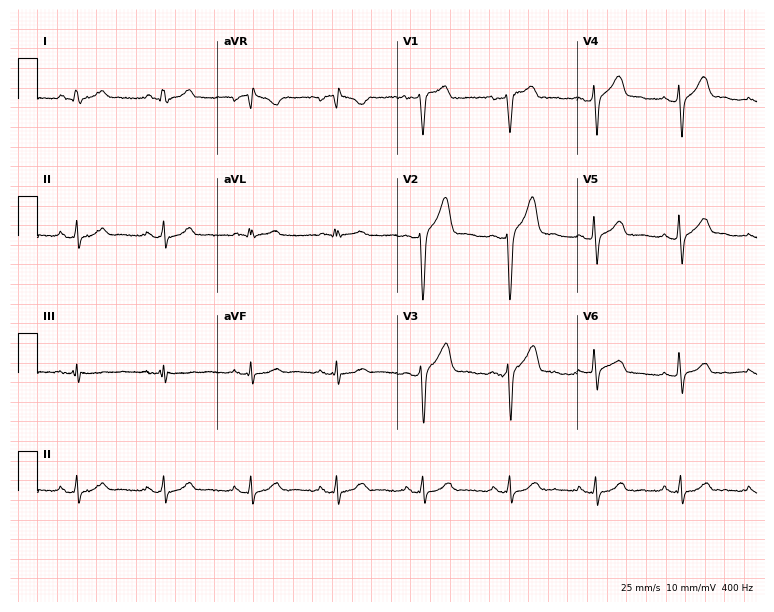
ECG — a male patient, 41 years old. Screened for six findings — first-degree AV block, right bundle branch block, left bundle branch block, sinus bradycardia, atrial fibrillation, sinus tachycardia — none is recorded. Only these six findings were labelled.